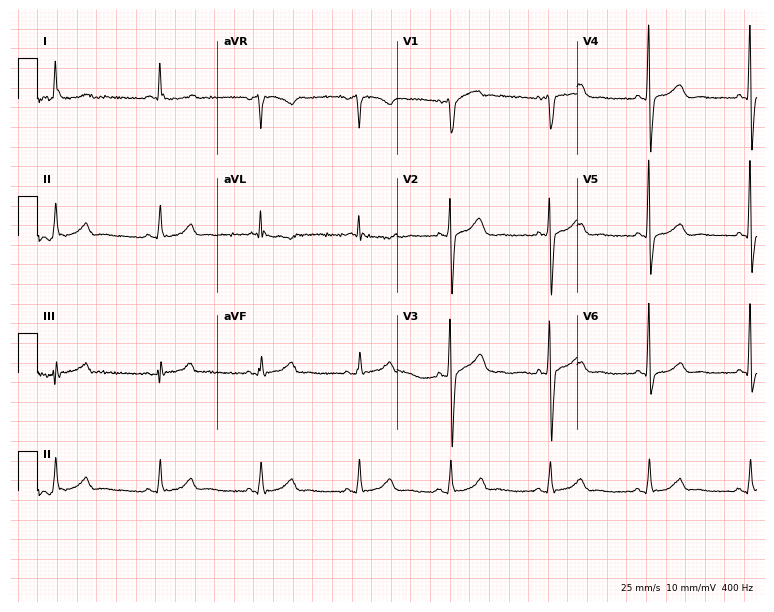
12-lead ECG from a male, 59 years old (7.3-second recording at 400 Hz). Recorded interpretation: within normal limits.